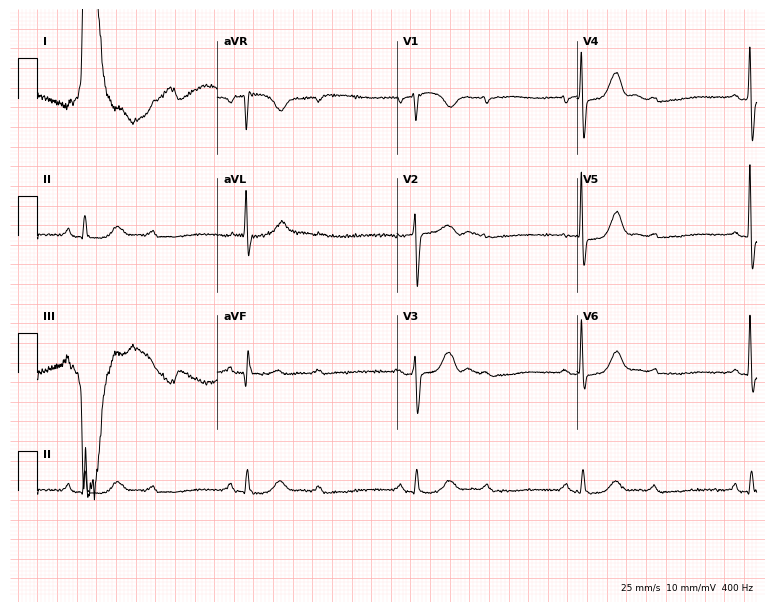
Electrocardiogram (7.3-second recording at 400 Hz), a male patient, 78 years old. Interpretation includes right bundle branch block (RBBB), sinus bradycardia (a sinus rate of 50 beats per minute or less).